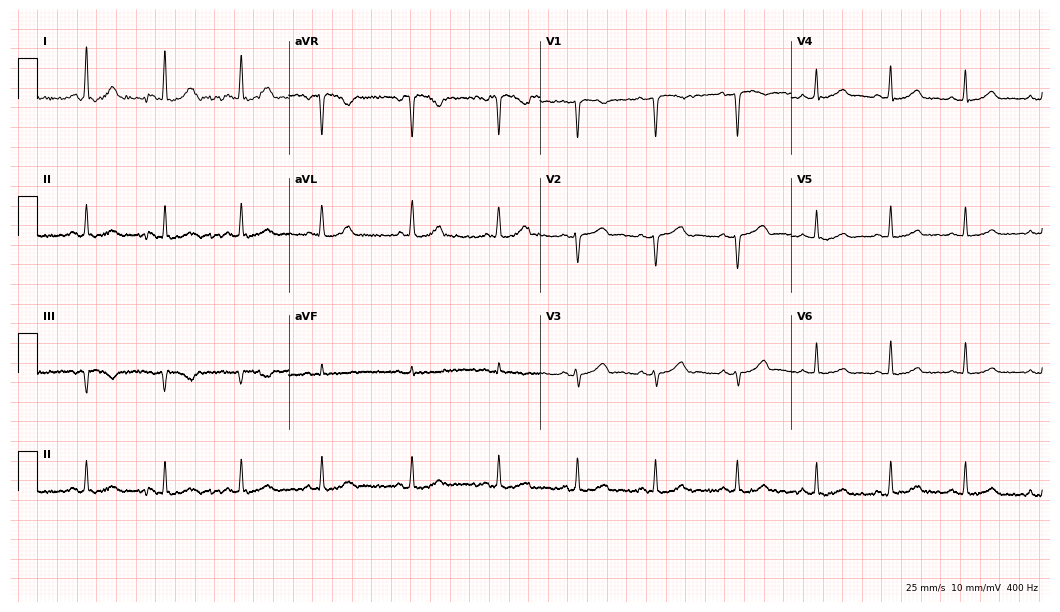
ECG (10.2-second recording at 400 Hz) — a 40-year-old female. Labelled as a normal ECG.